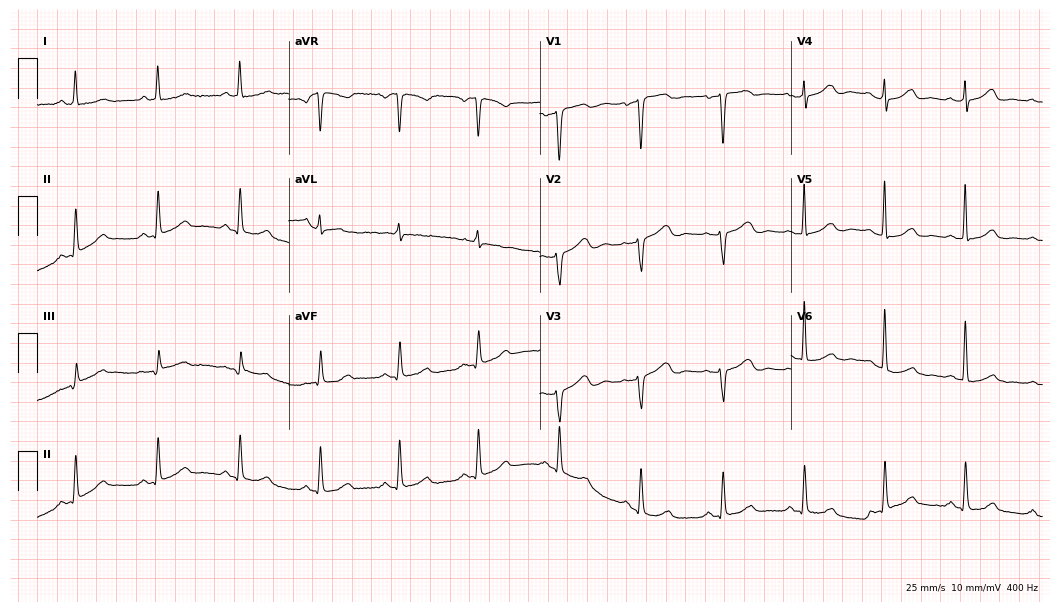
12-lead ECG from a female patient, 65 years old. Recorded interpretation: within normal limits.